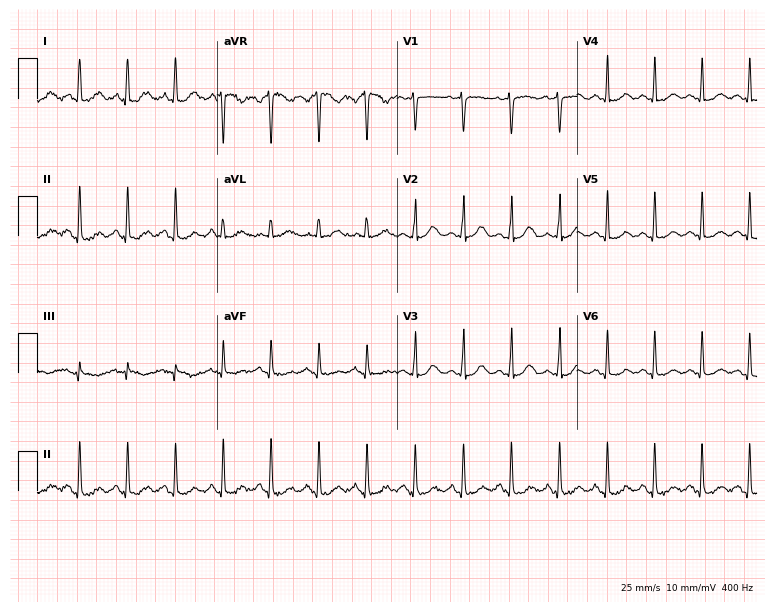
12-lead ECG from a 52-year-old female. Shows sinus tachycardia (a sinus rate of 100 beats per minute or more).